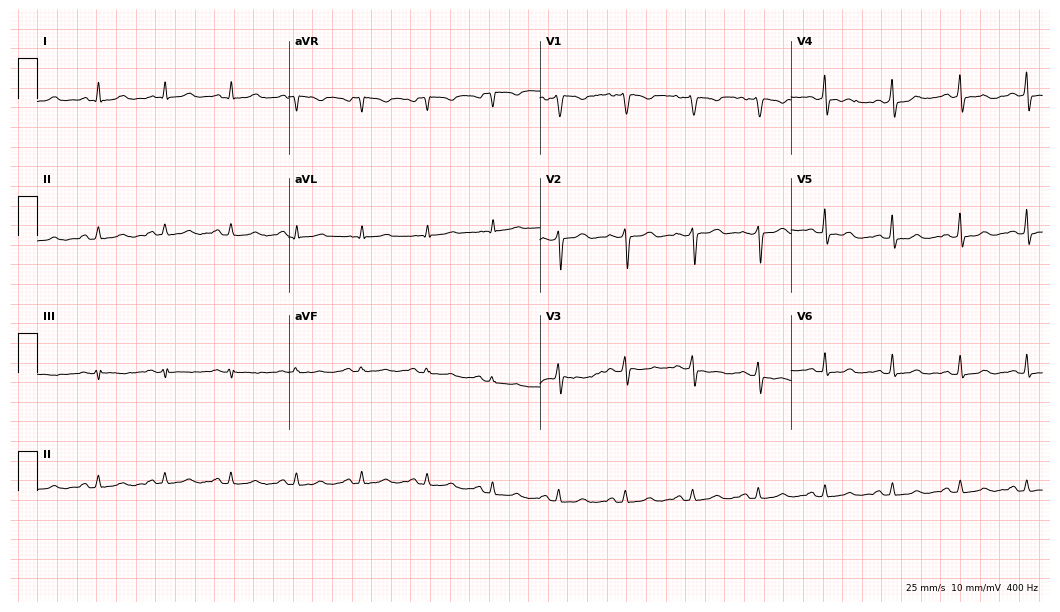
12-lead ECG from a woman, 41 years old. Labelled as a normal ECG.